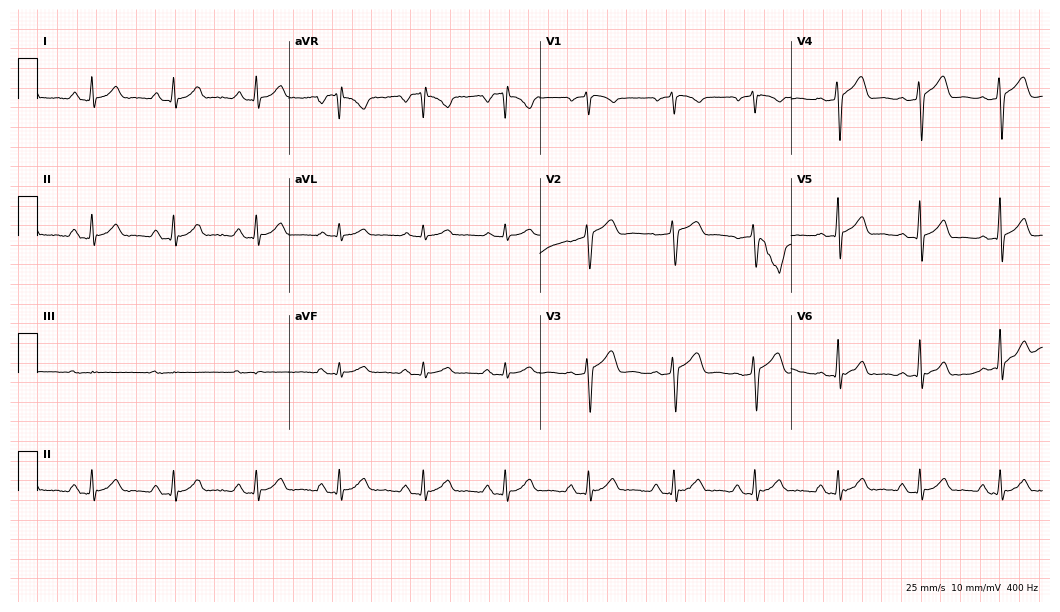
Electrocardiogram, a man, 57 years old. Overall reading on record: normal ECG.